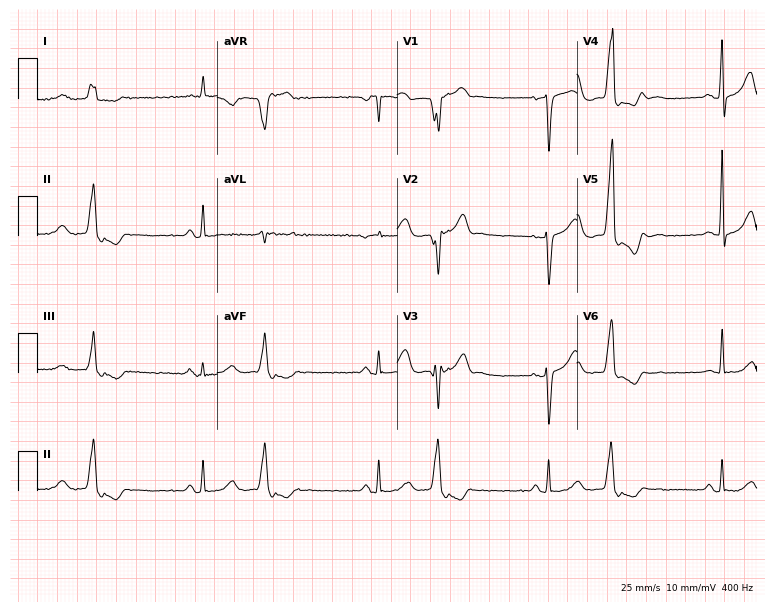
12-lead ECG from a 74-year-old male (7.3-second recording at 400 Hz). No first-degree AV block, right bundle branch block, left bundle branch block, sinus bradycardia, atrial fibrillation or sinus tachycardia recorded for this tracing. Other findings, if any, are not listed.